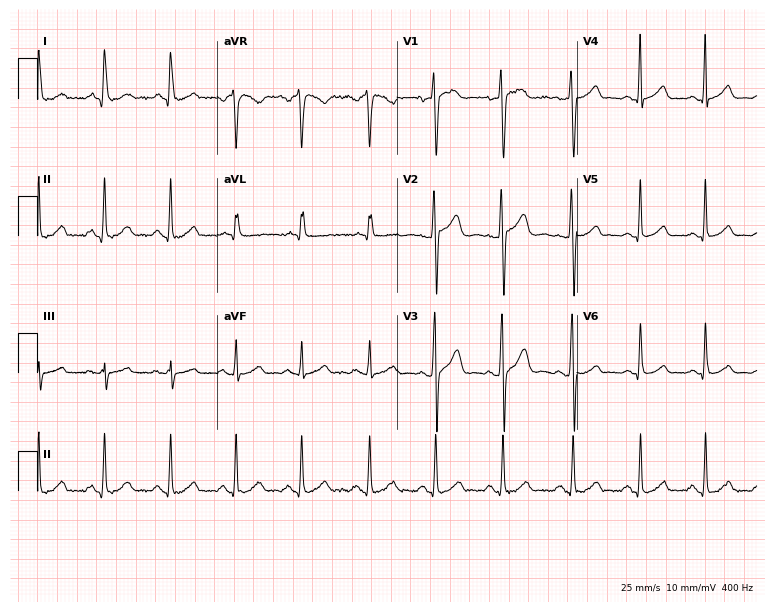
Standard 12-lead ECG recorded from a 24-year-old woman (7.3-second recording at 400 Hz). Read as a normal ECG.